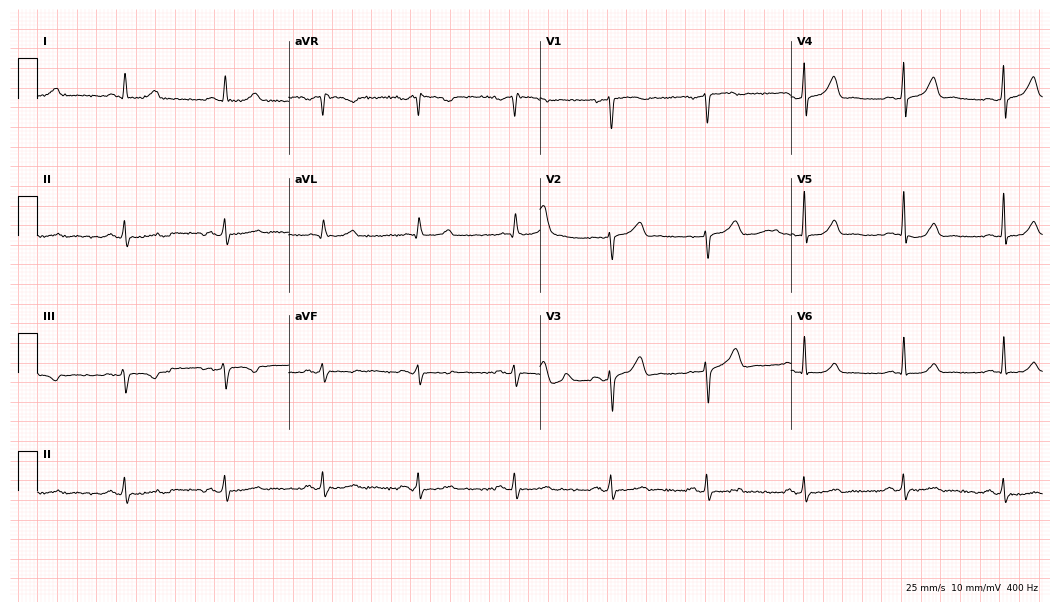
Electrocardiogram, a 51-year-old man. Overall reading on record: normal ECG.